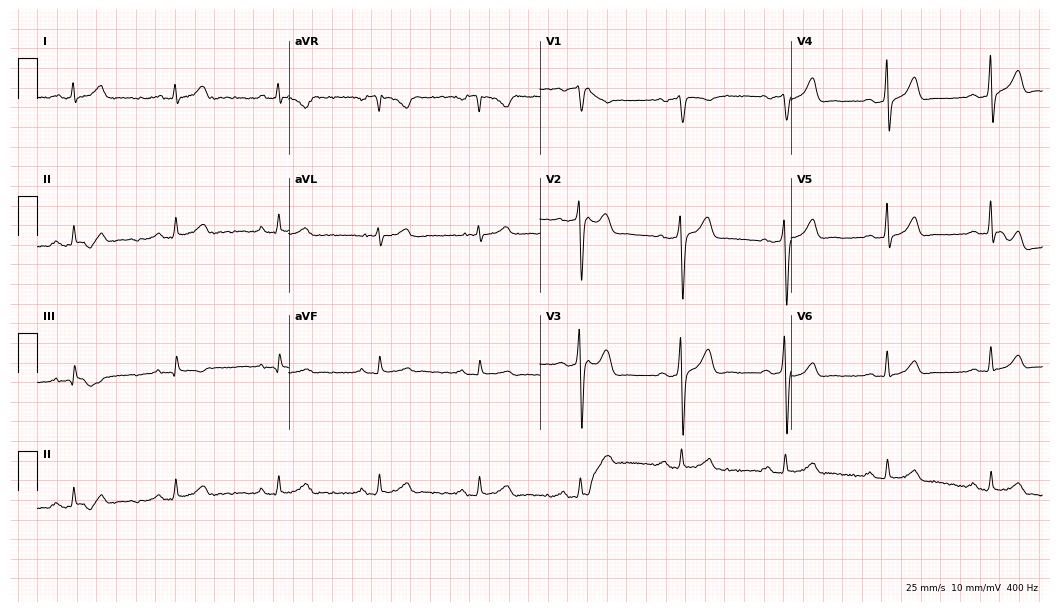
ECG — a 41-year-old male. Labelled as a normal ECG.